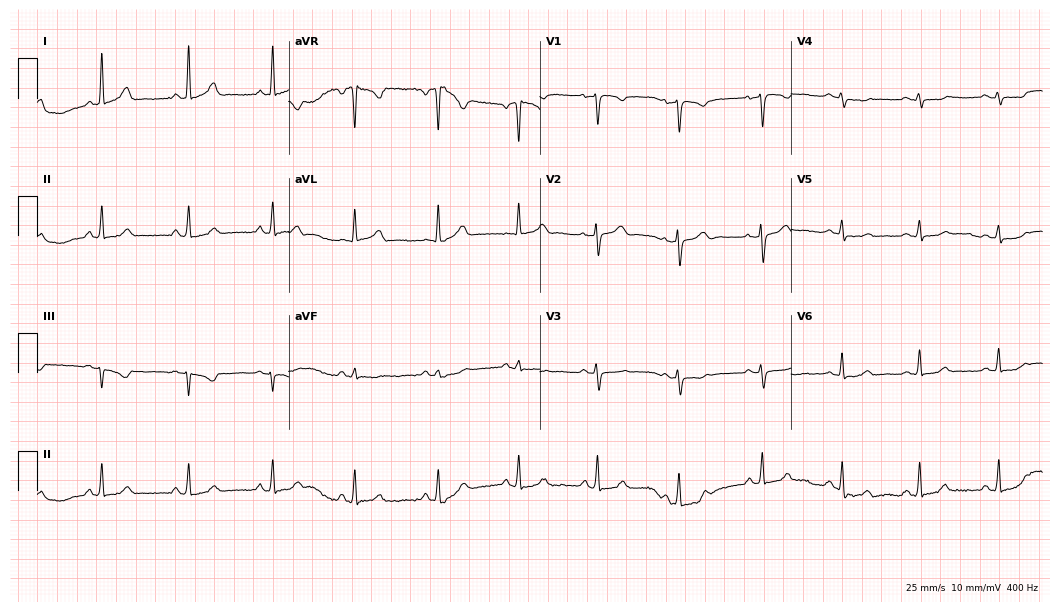
ECG — a 46-year-old woman. Labelled as a normal ECG.